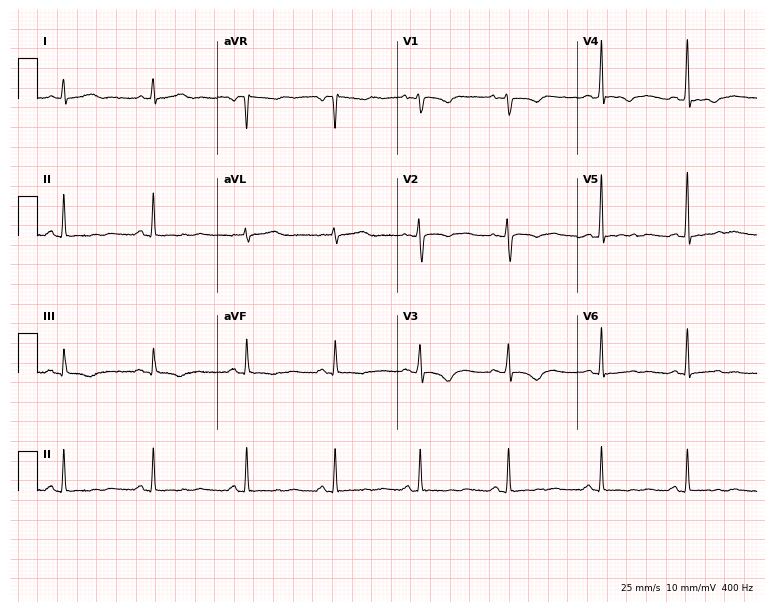
ECG — a 38-year-old female patient. Screened for six findings — first-degree AV block, right bundle branch block, left bundle branch block, sinus bradycardia, atrial fibrillation, sinus tachycardia — none is recorded.